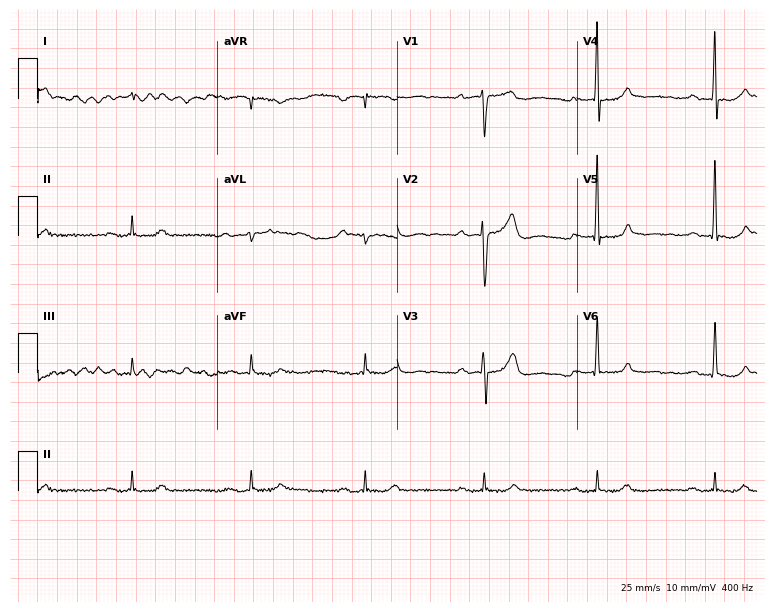
12-lead ECG from a 67-year-old man. Shows first-degree AV block.